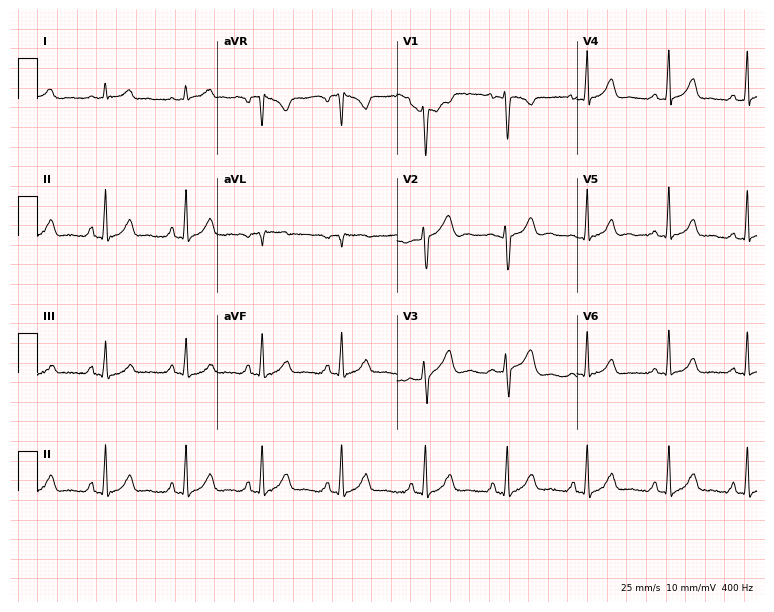
Electrocardiogram (7.3-second recording at 400 Hz), a female patient, 27 years old. Overall reading on record: normal ECG.